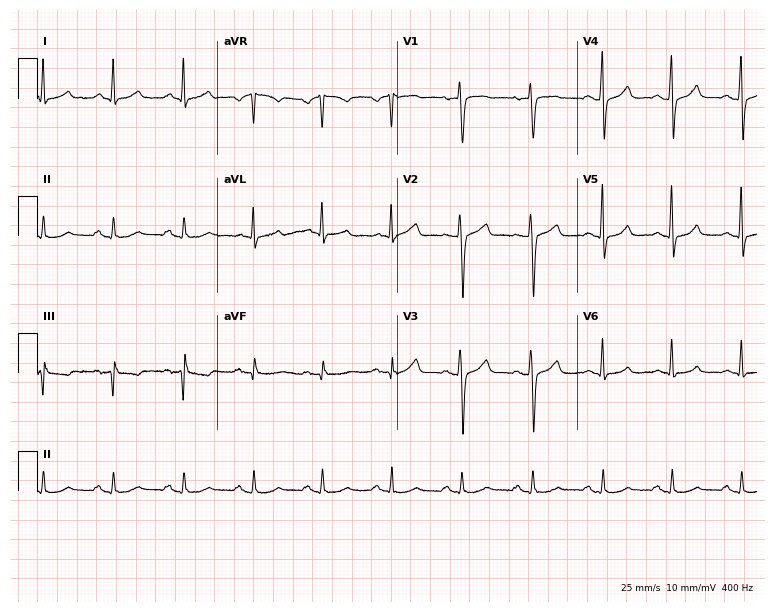
ECG (7.3-second recording at 400 Hz) — a female patient, 65 years old. Labelled as a normal ECG.